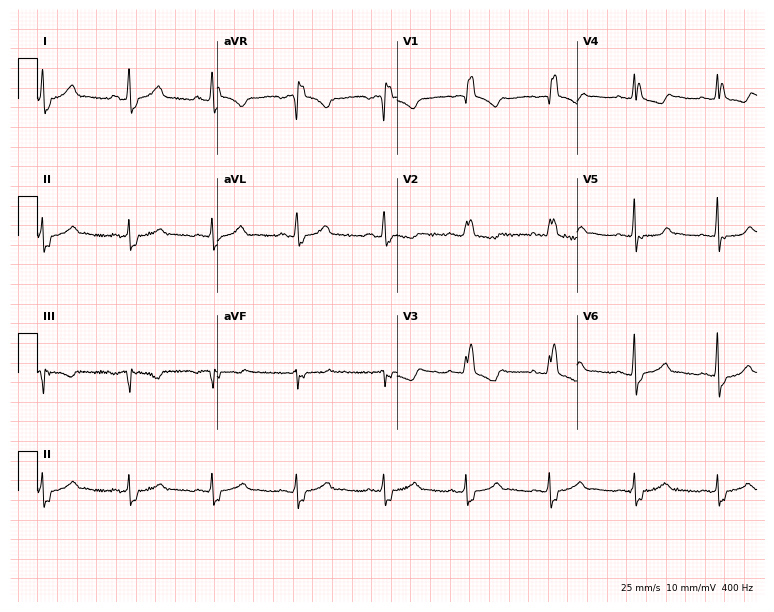
ECG — a 55-year-old woman. Findings include right bundle branch block.